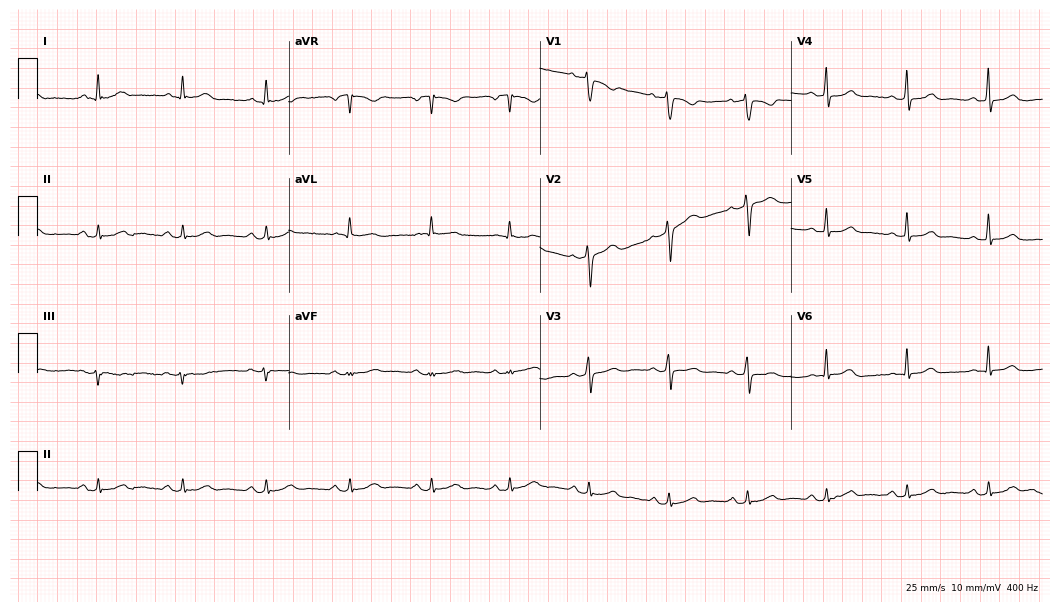
ECG (10.2-second recording at 400 Hz) — a 62-year-old female. Screened for six findings — first-degree AV block, right bundle branch block, left bundle branch block, sinus bradycardia, atrial fibrillation, sinus tachycardia — none is recorded.